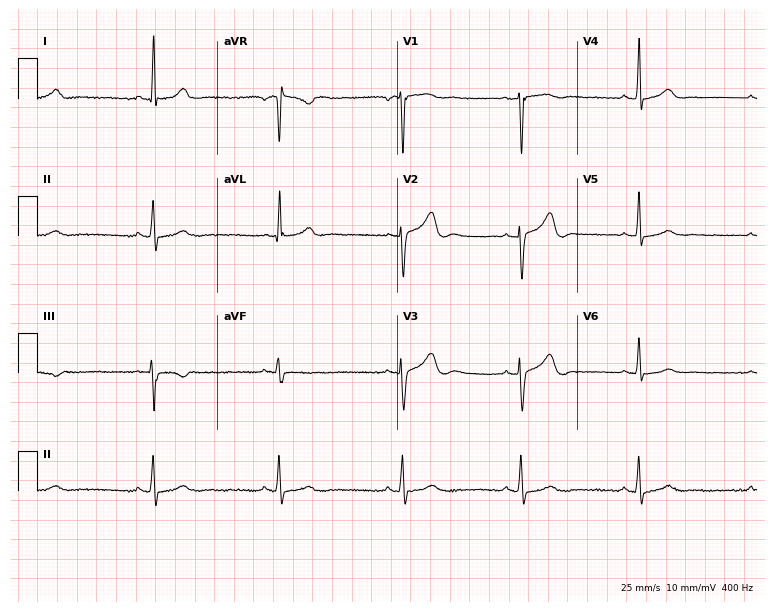
12-lead ECG from a female, 45 years old (7.3-second recording at 400 Hz). Shows sinus bradycardia (a sinus rate of 50 beats per minute or less).